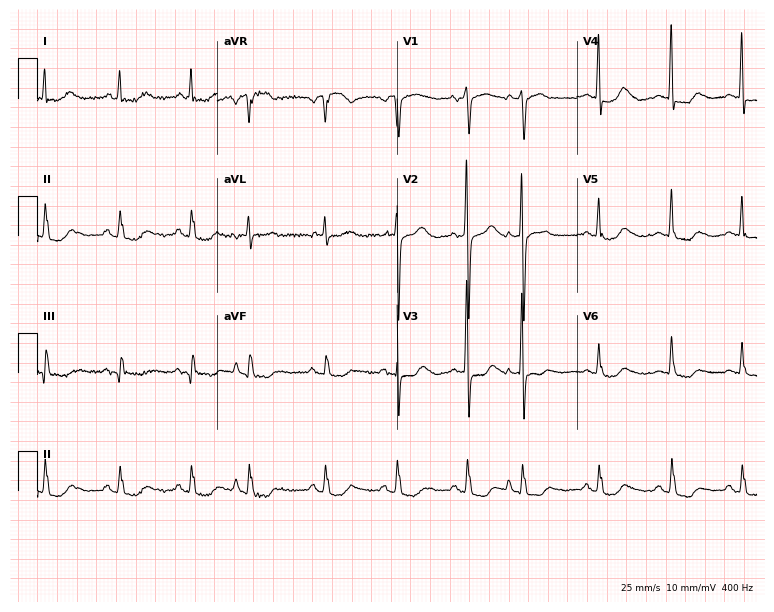
12-lead ECG from a 74-year-old woman (7.3-second recording at 400 Hz). No first-degree AV block, right bundle branch block, left bundle branch block, sinus bradycardia, atrial fibrillation or sinus tachycardia recorded for this tracing. Findings outside these six are not listed.